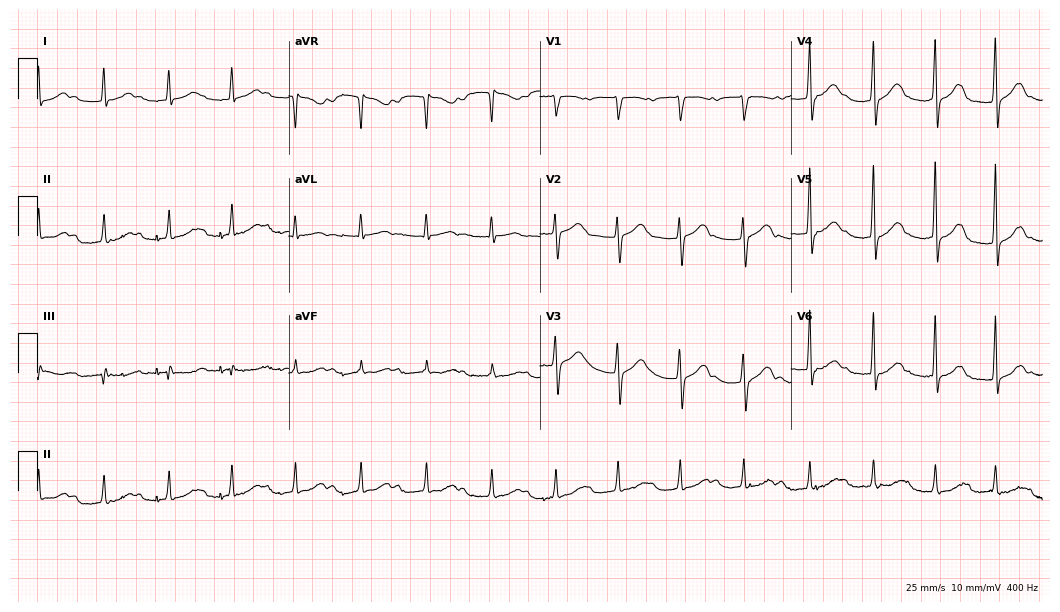
12-lead ECG (10.2-second recording at 400 Hz) from a female, 47 years old. Findings include first-degree AV block.